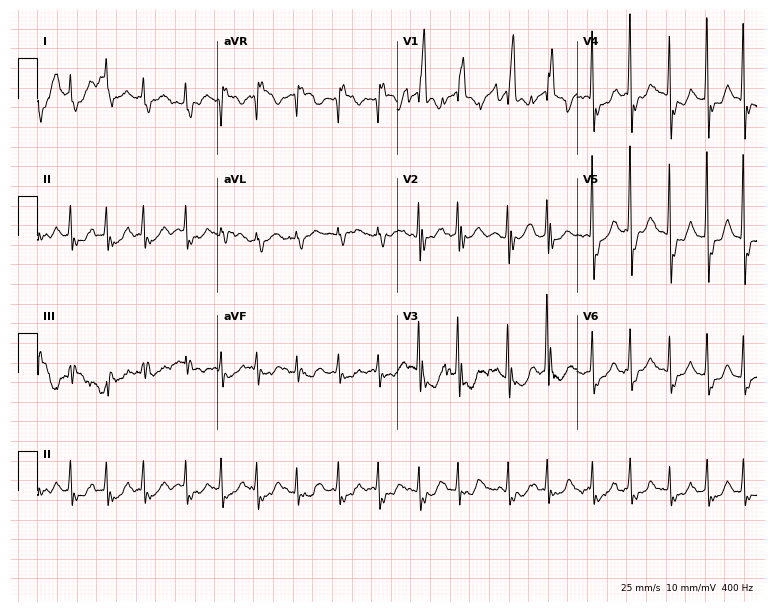
12-lead ECG from an 84-year-old male patient (7.3-second recording at 400 Hz). No first-degree AV block, right bundle branch block (RBBB), left bundle branch block (LBBB), sinus bradycardia, atrial fibrillation (AF) or sinus tachycardia recorded for this tracing. Other findings, if any, are not listed.